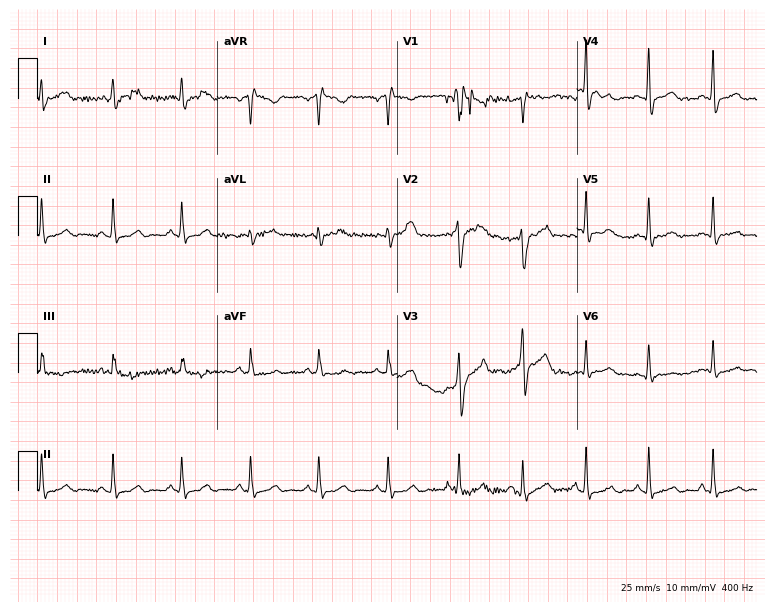
Electrocardiogram, a male, 33 years old. Of the six screened findings (first-degree AV block, right bundle branch block (RBBB), left bundle branch block (LBBB), sinus bradycardia, atrial fibrillation (AF), sinus tachycardia), none is recorded. Only these six findings were labelled.